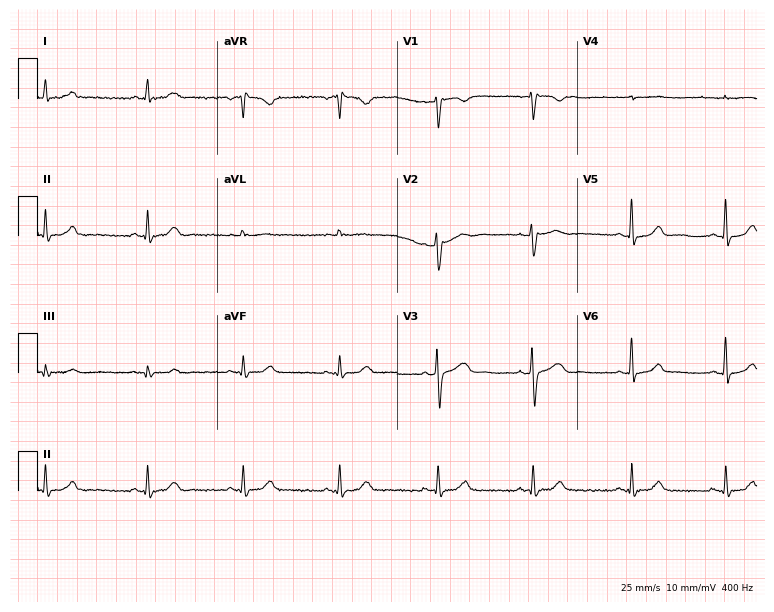
12-lead ECG from a woman, 40 years old. No first-degree AV block, right bundle branch block (RBBB), left bundle branch block (LBBB), sinus bradycardia, atrial fibrillation (AF) or sinus tachycardia recorded for this tracing.